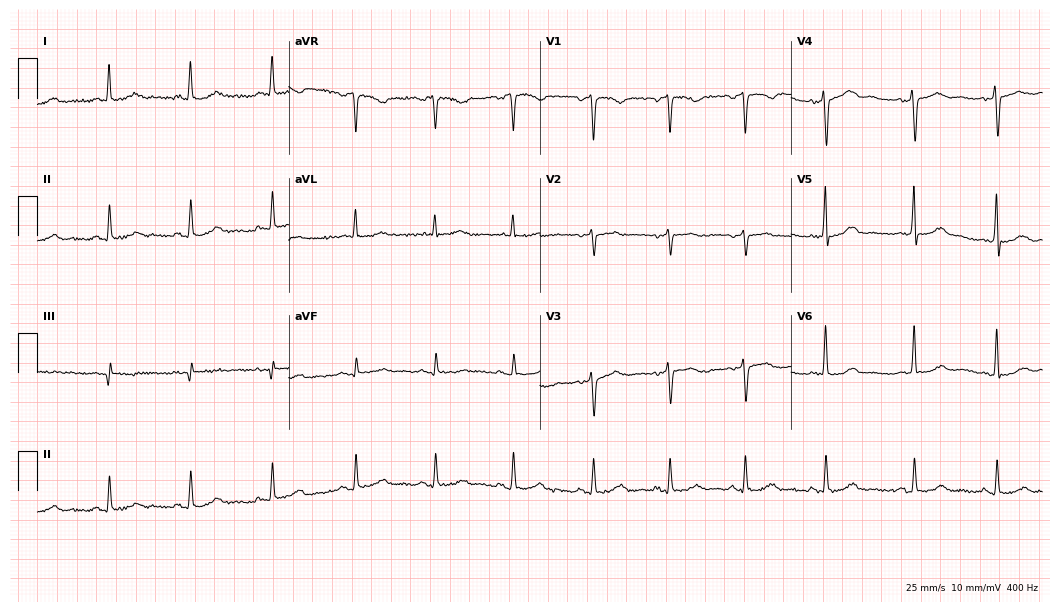
12-lead ECG (10.2-second recording at 400 Hz) from a 44-year-old female. Screened for six findings — first-degree AV block, right bundle branch block (RBBB), left bundle branch block (LBBB), sinus bradycardia, atrial fibrillation (AF), sinus tachycardia — none is recorded.